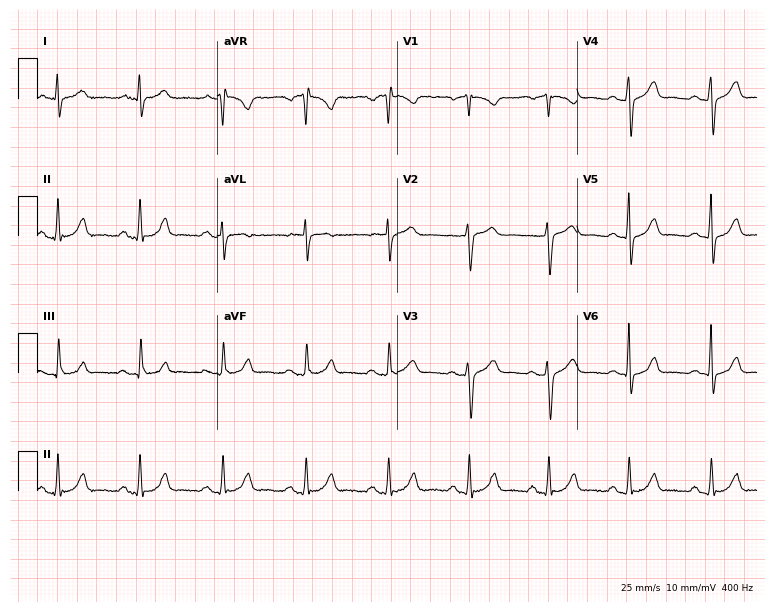
Electrocardiogram, a woman, 52 years old. Overall reading on record: normal ECG.